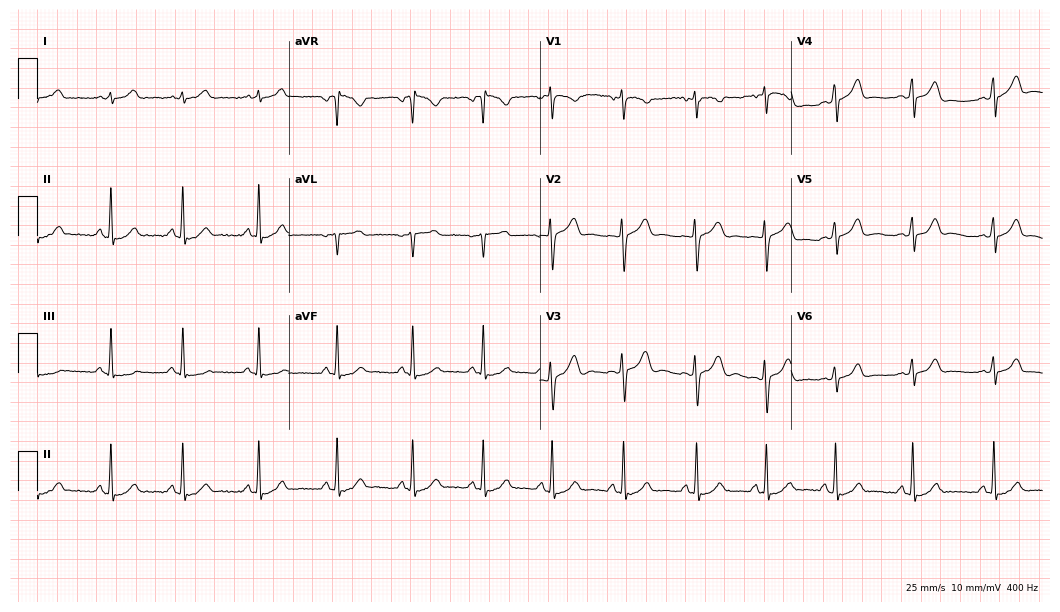
Standard 12-lead ECG recorded from a female patient, 23 years old (10.2-second recording at 400 Hz). Read as a normal ECG.